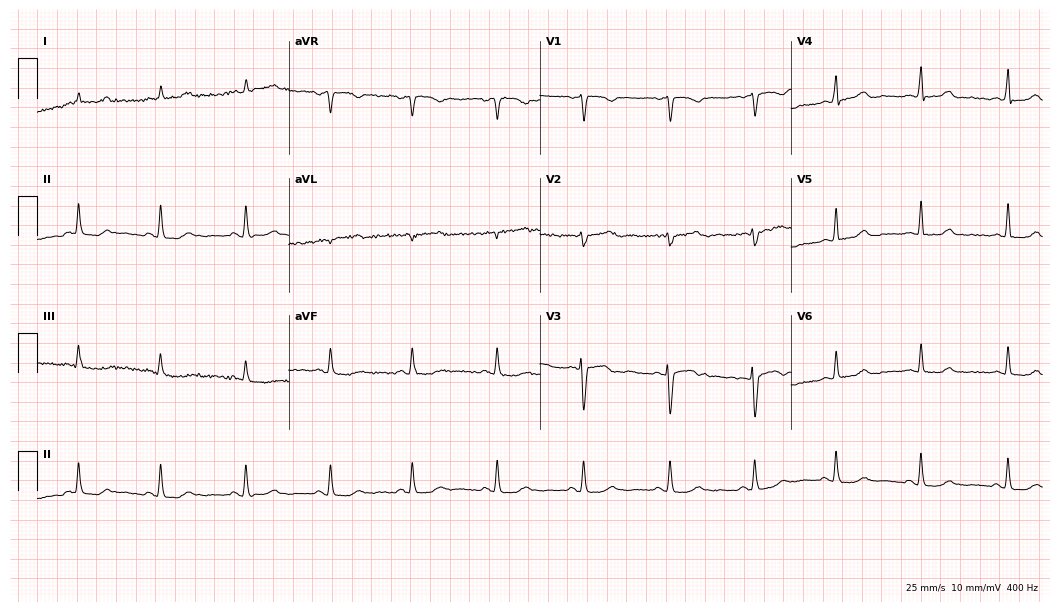
ECG — a 35-year-old female patient. Labelled as a normal ECG.